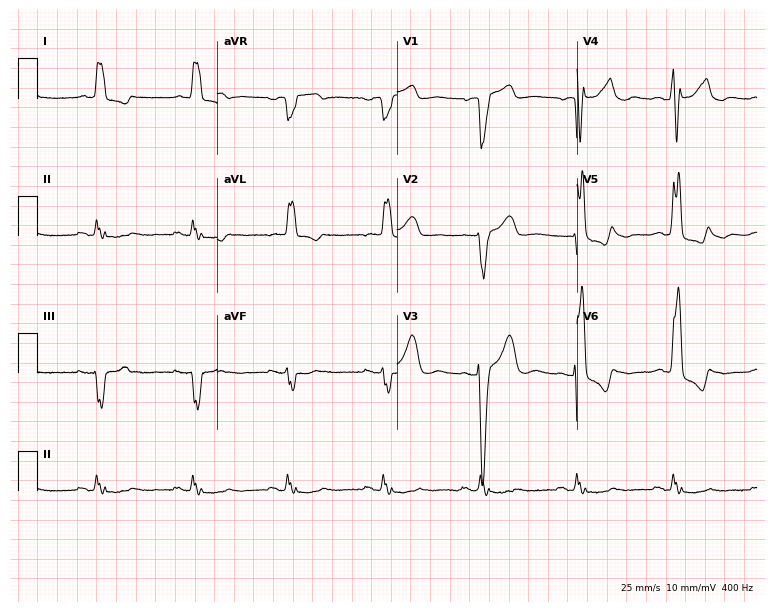
12-lead ECG (7.3-second recording at 400 Hz) from a woman, 73 years old. Findings include left bundle branch block.